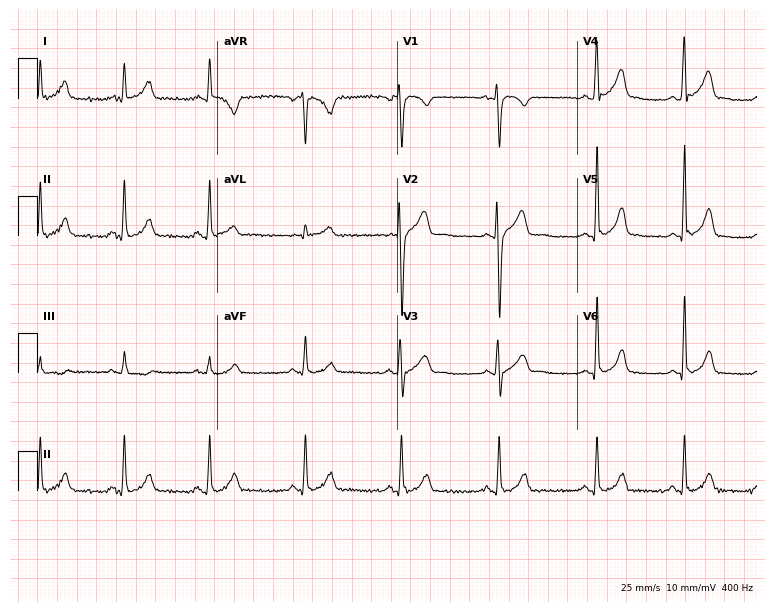
12-lead ECG from a 31-year-old male patient. Labelled as a normal ECG.